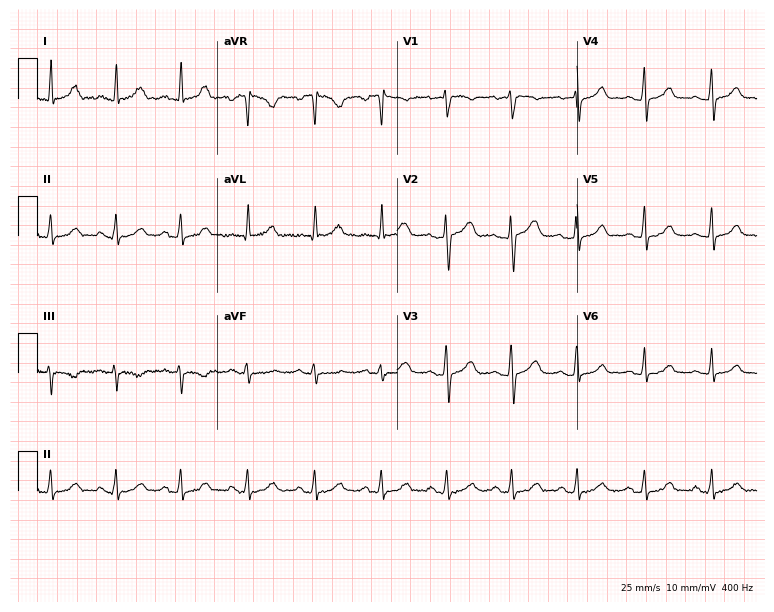
12-lead ECG from a 50-year-old female patient (7.3-second recording at 400 Hz). Recorded interpretation: within normal limits.